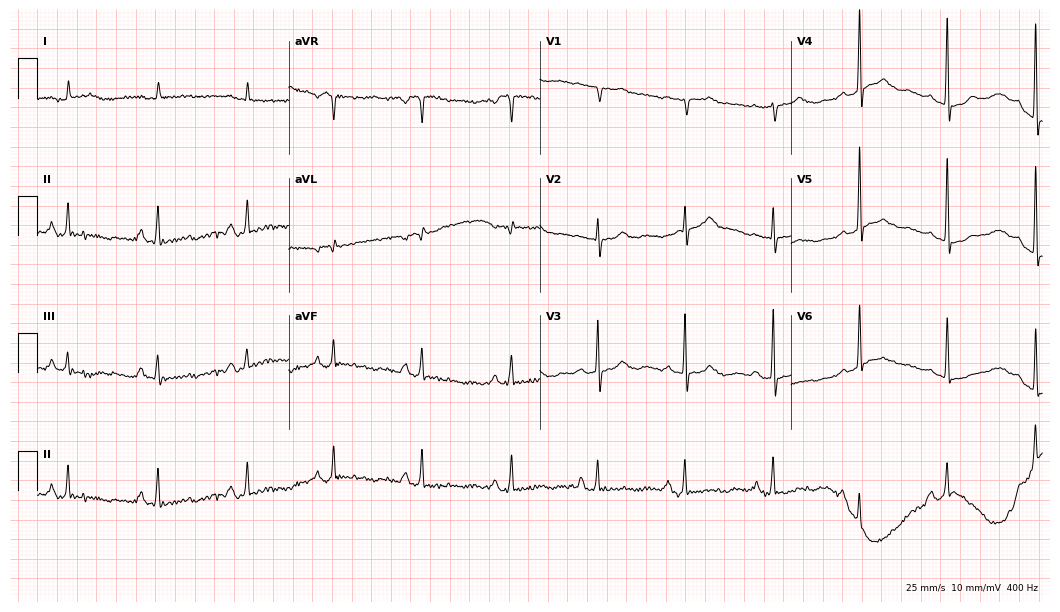
Electrocardiogram, a female, 85 years old. Of the six screened findings (first-degree AV block, right bundle branch block (RBBB), left bundle branch block (LBBB), sinus bradycardia, atrial fibrillation (AF), sinus tachycardia), none is recorded. Findings outside these six are not listed.